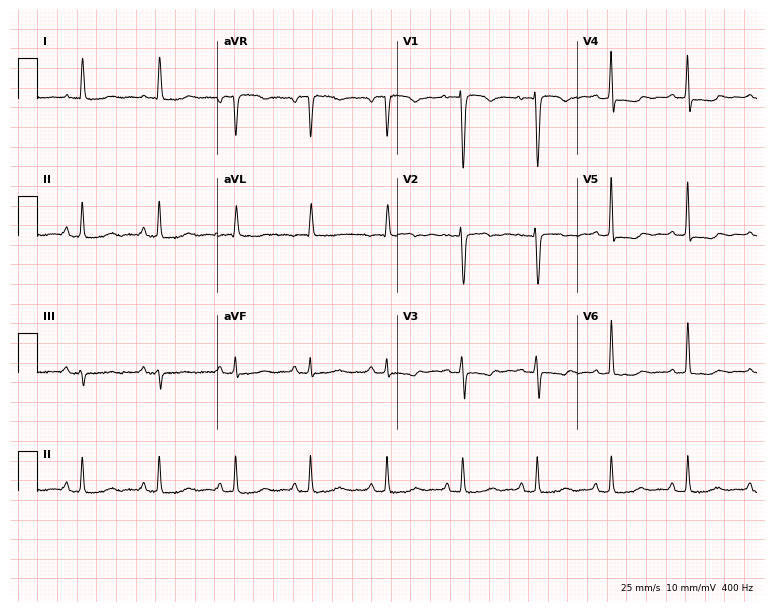
12-lead ECG (7.3-second recording at 400 Hz) from a female, 62 years old. Labelled as a normal ECG.